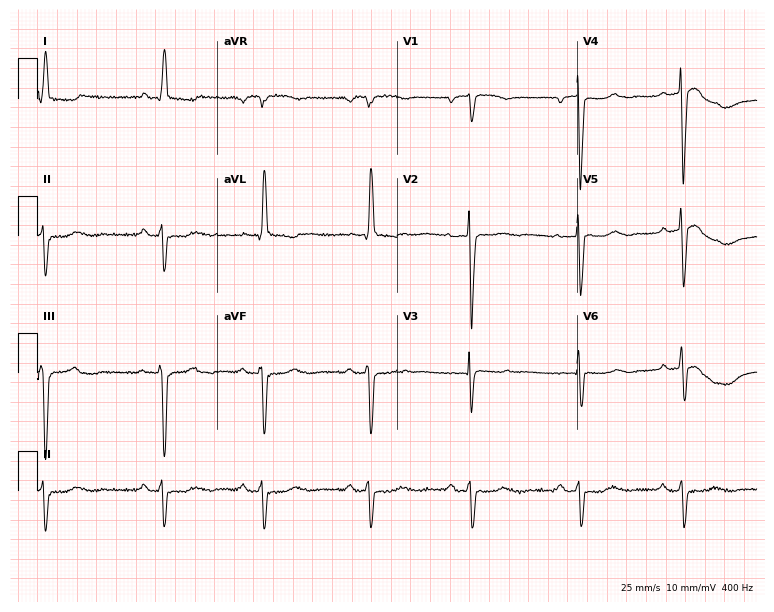
Electrocardiogram, a female, 86 years old. Of the six screened findings (first-degree AV block, right bundle branch block (RBBB), left bundle branch block (LBBB), sinus bradycardia, atrial fibrillation (AF), sinus tachycardia), none is recorded.